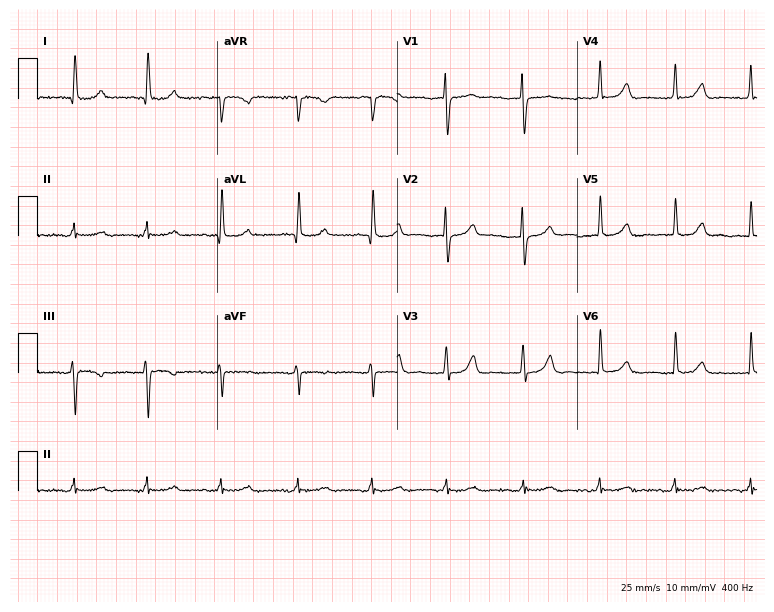
12-lead ECG from a female, 83 years old. Findings include atrial fibrillation.